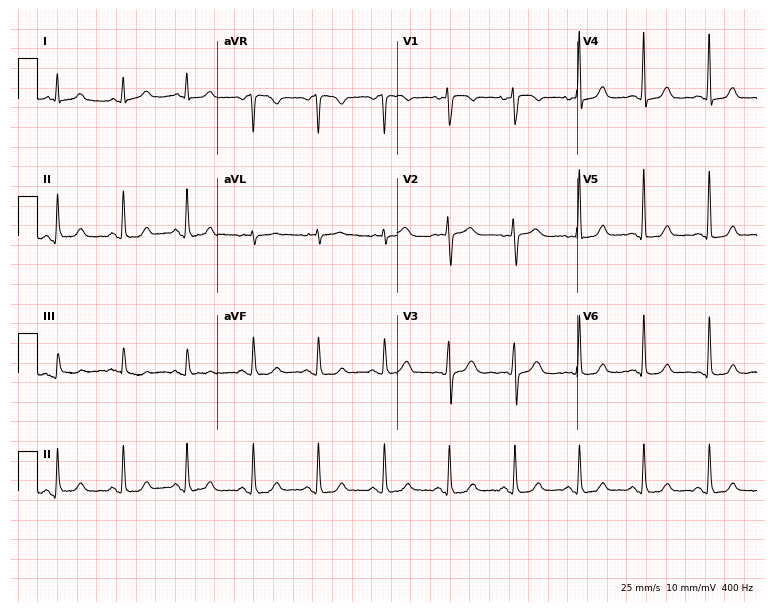
12-lead ECG from a 58-year-old female. Recorded interpretation: within normal limits.